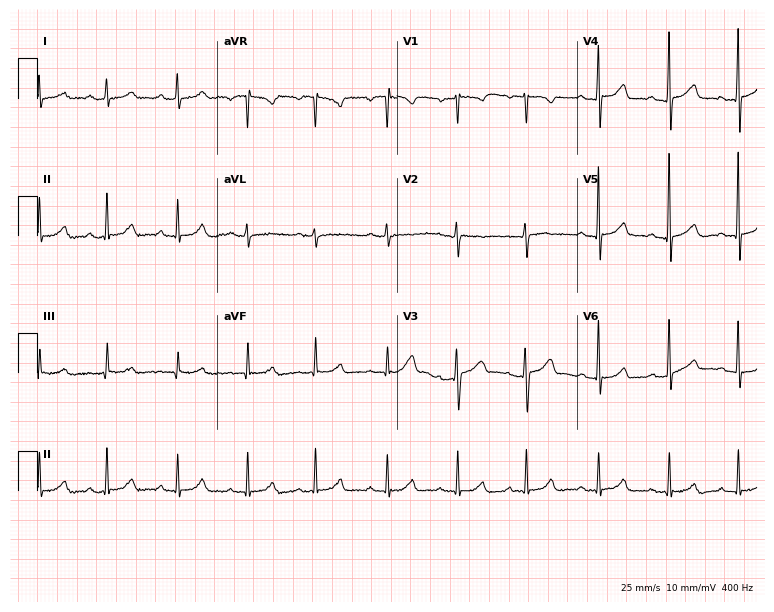
Electrocardiogram (7.3-second recording at 400 Hz), a 38-year-old female. Overall reading on record: normal ECG.